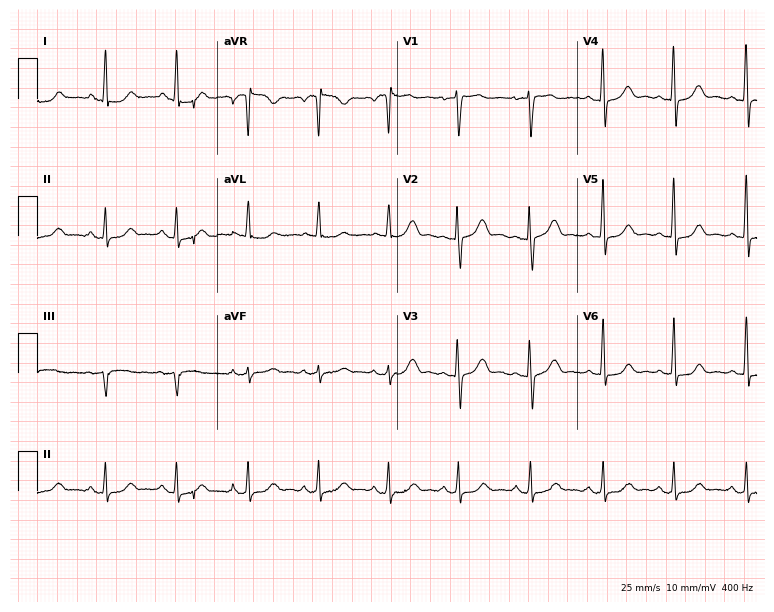
ECG (7.3-second recording at 400 Hz) — a female, 41 years old. Labelled as a normal ECG.